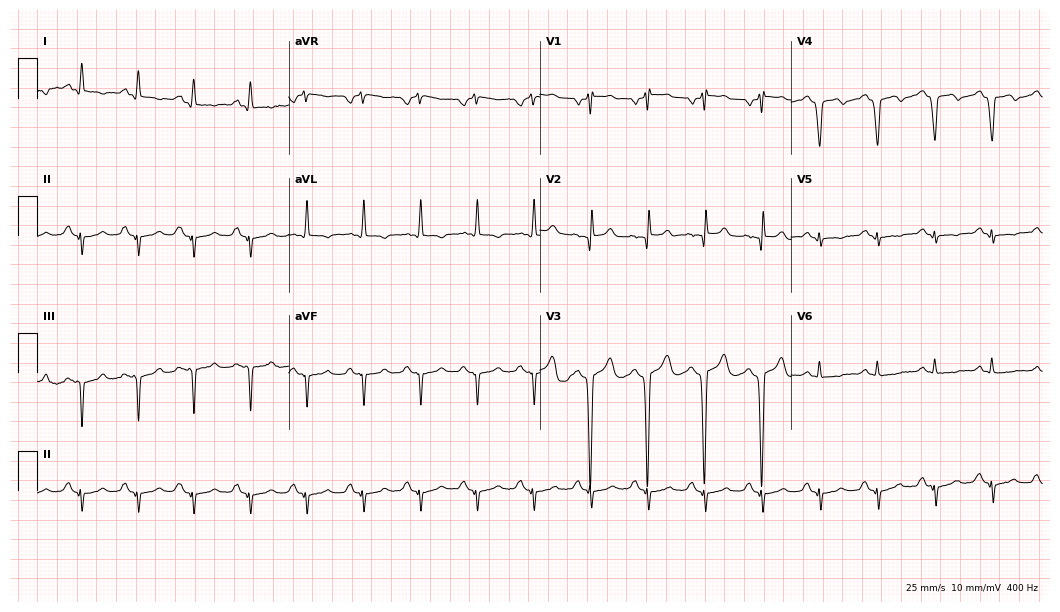
Resting 12-lead electrocardiogram (10.2-second recording at 400 Hz). Patient: a 42-year-old male. None of these six findings is recorded: first-degree AV block, right bundle branch block (RBBB), left bundle branch block (LBBB), sinus bradycardia, atrial fibrillation (AF), sinus tachycardia.